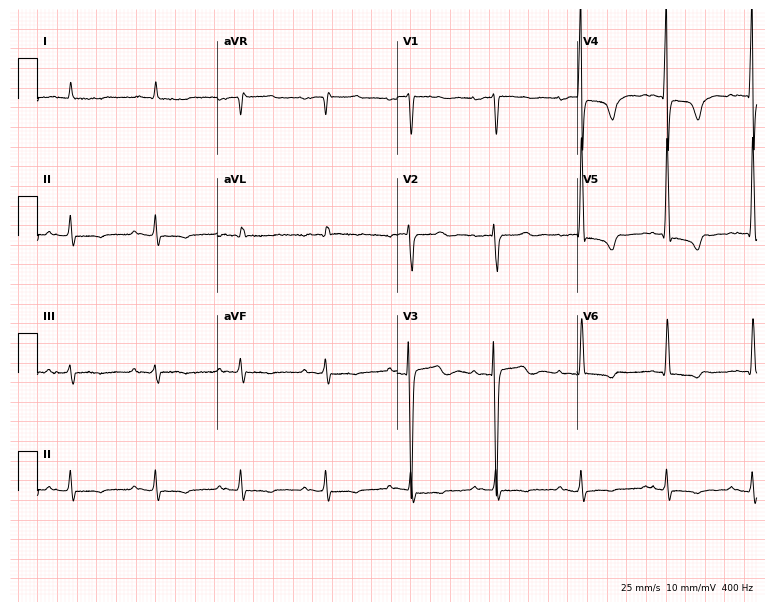
Standard 12-lead ECG recorded from an 81-year-old male patient. The tracing shows first-degree AV block.